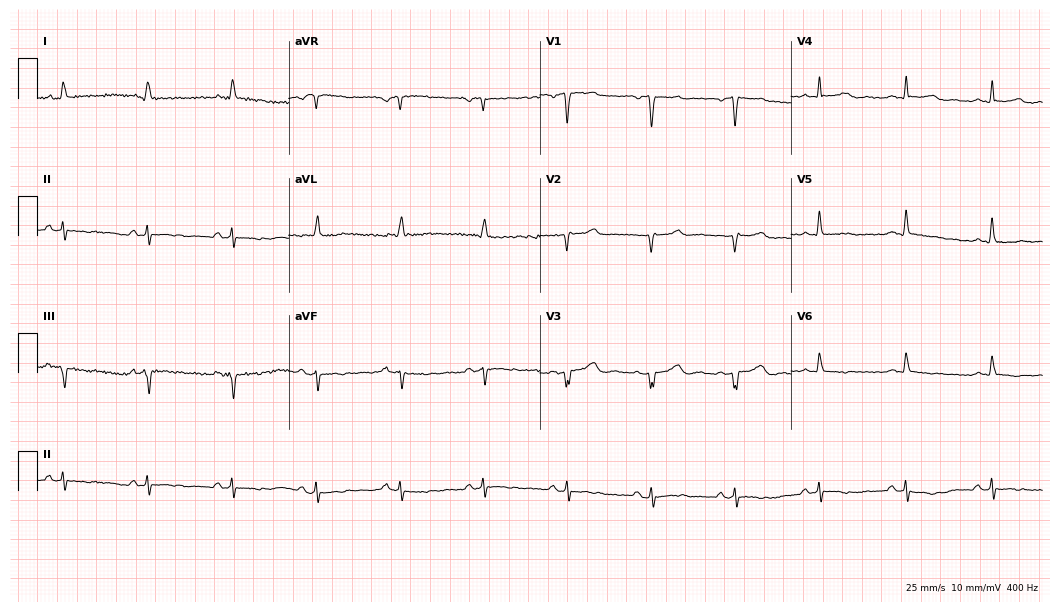
ECG (10.2-second recording at 400 Hz) — a 55-year-old male. Screened for six findings — first-degree AV block, right bundle branch block (RBBB), left bundle branch block (LBBB), sinus bradycardia, atrial fibrillation (AF), sinus tachycardia — none is recorded. Other findings, if any, are not listed.